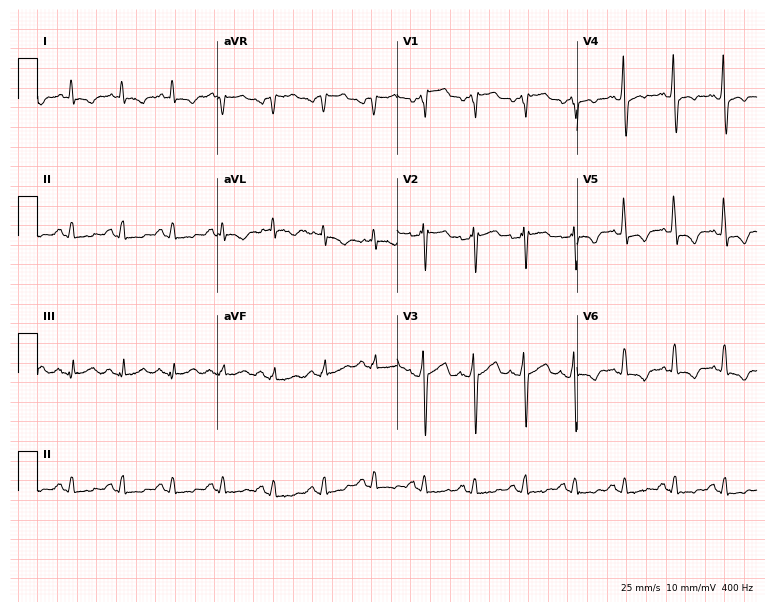
Resting 12-lead electrocardiogram (7.3-second recording at 400 Hz). Patient: a 59-year-old male. The tracing shows sinus tachycardia (a sinus rate of 100 beats per minute or more).